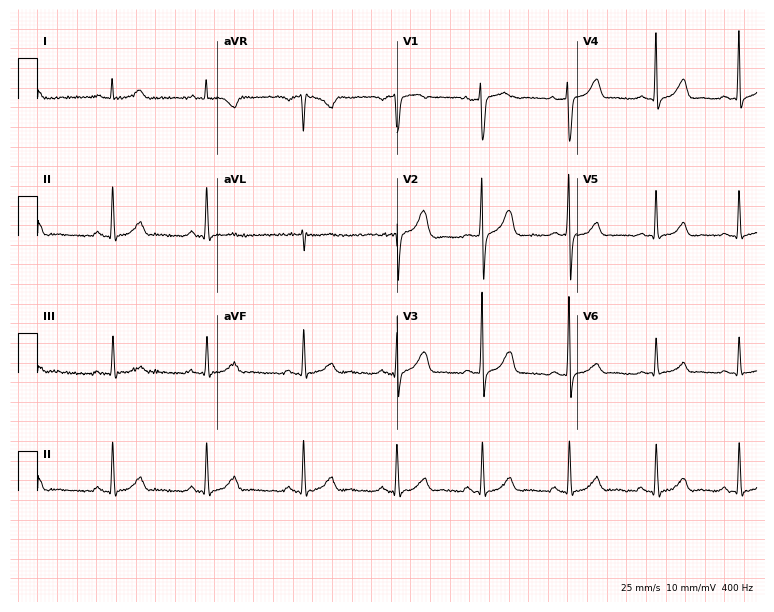
Resting 12-lead electrocardiogram (7.3-second recording at 400 Hz). Patient: a female, 24 years old. Read as a normal ECG.